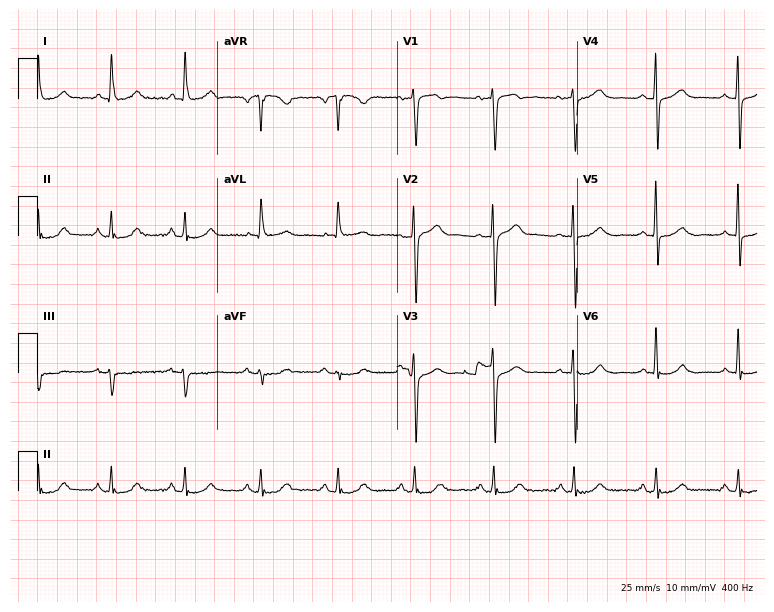
Standard 12-lead ECG recorded from a 75-year-old female. None of these six findings is recorded: first-degree AV block, right bundle branch block, left bundle branch block, sinus bradycardia, atrial fibrillation, sinus tachycardia.